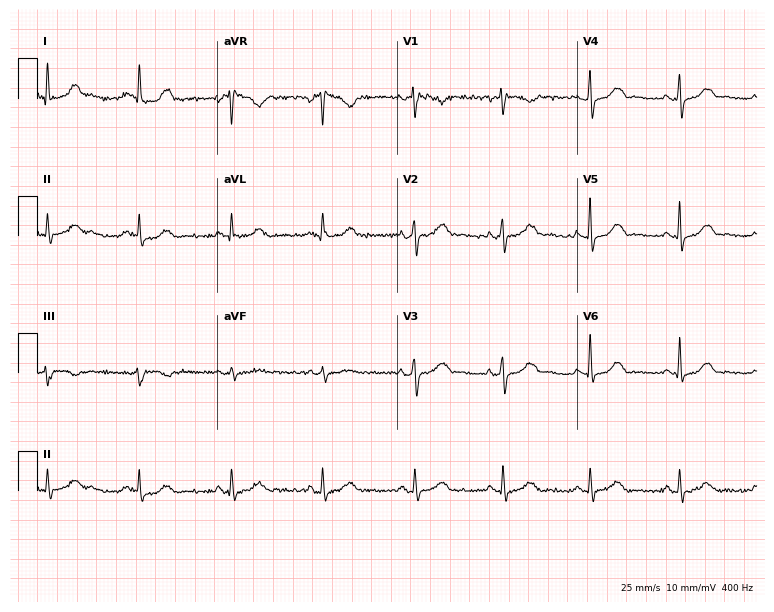
12-lead ECG from a 61-year-old female. Recorded interpretation: within normal limits.